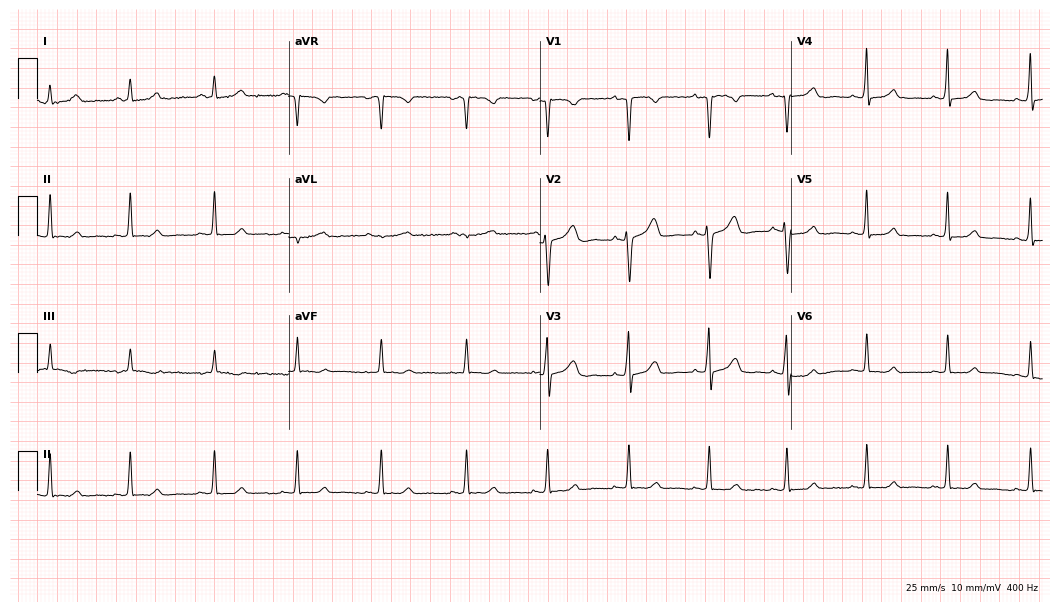
12-lead ECG from a 41-year-old woman. Recorded interpretation: within normal limits.